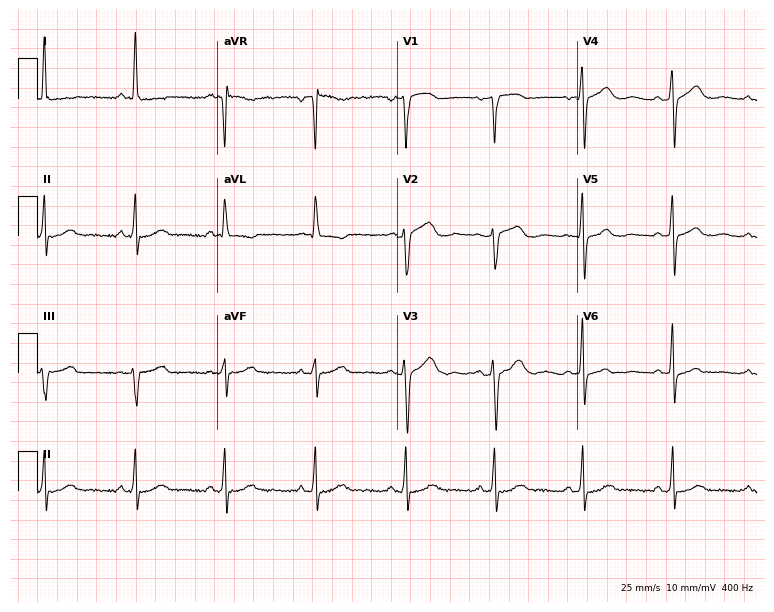
Standard 12-lead ECG recorded from a female, 72 years old (7.3-second recording at 400 Hz). None of these six findings is recorded: first-degree AV block, right bundle branch block (RBBB), left bundle branch block (LBBB), sinus bradycardia, atrial fibrillation (AF), sinus tachycardia.